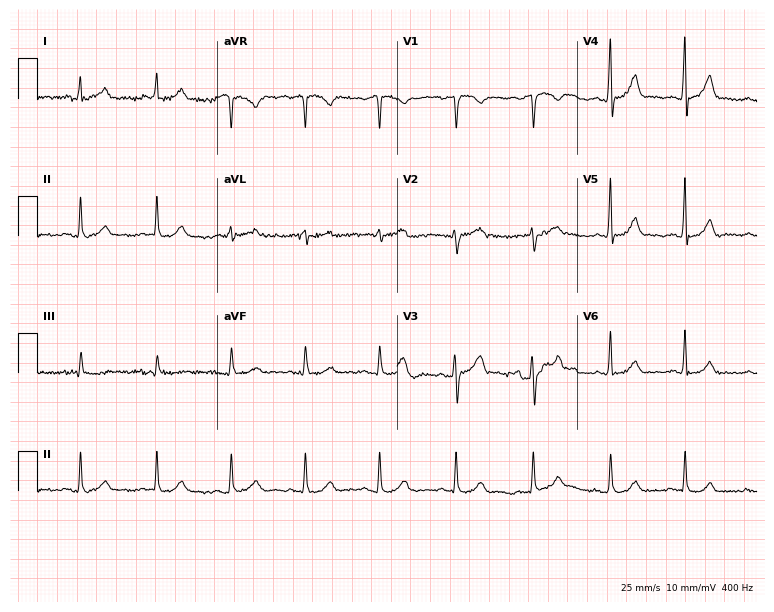
12-lead ECG from a 59-year-old male (7.3-second recording at 400 Hz). Recorded interpretation: within normal limits.